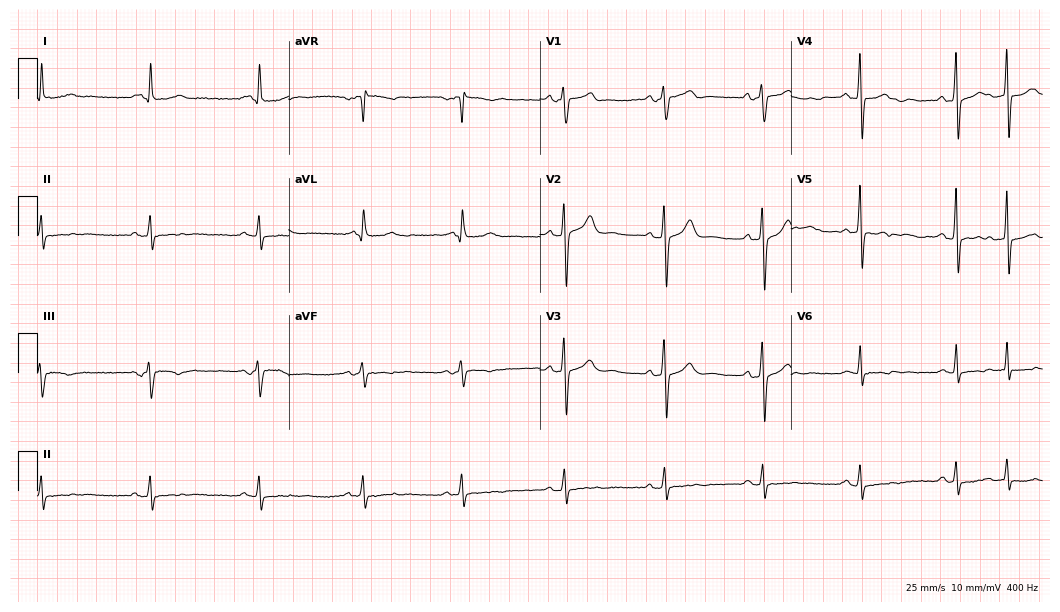
ECG (10.2-second recording at 400 Hz) — a 50-year-old male patient. Labelled as a normal ECG.